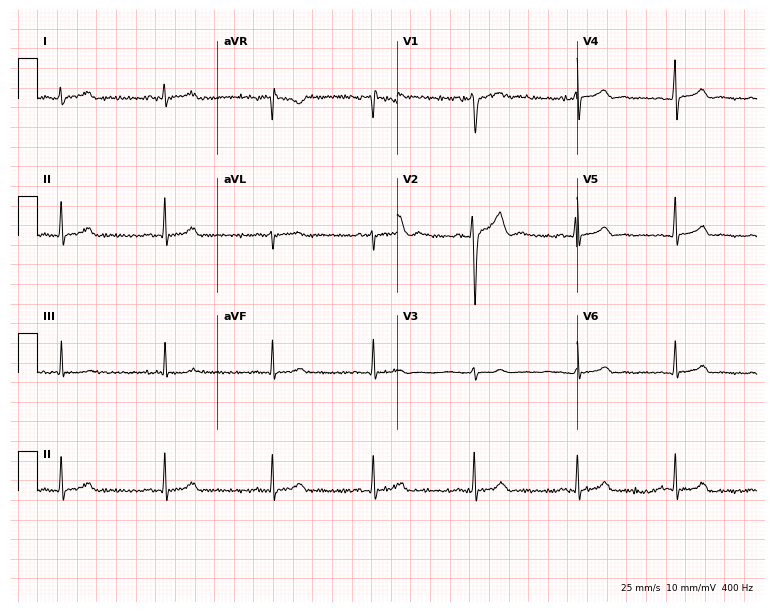
Standard 12-lead ECG recorded from a male patient, 18 years old. None of these six findings is recorded: first-degree AV block, right bundle branch block (RBBB), left bundle branch block (LBBB), sinus bradycardia, atrial fibrillation (AF), sinus tachycardia.